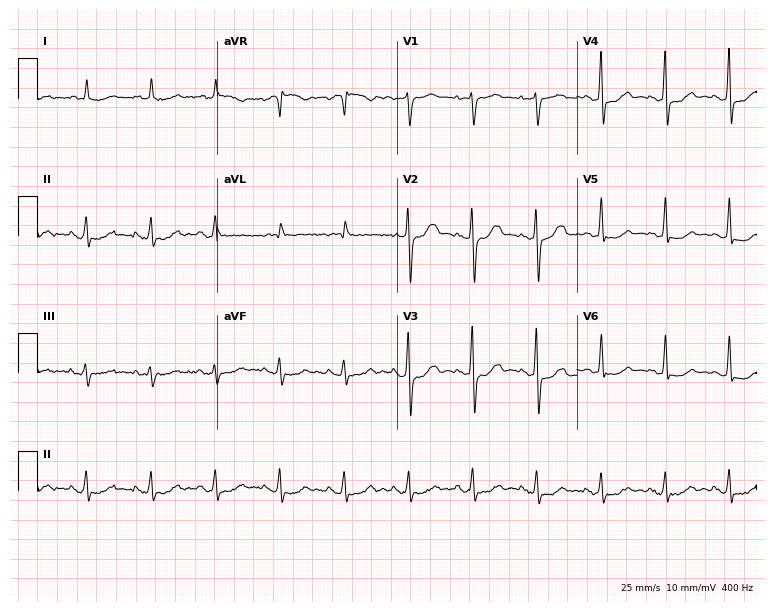
12-lead ECG from a female patient, 76 years old. No first-degree AV block, right bundle branch block, left bundle branch block, sinus bradycardia, atrial fibrillation or sinus tachycardia recorded for this tracing.